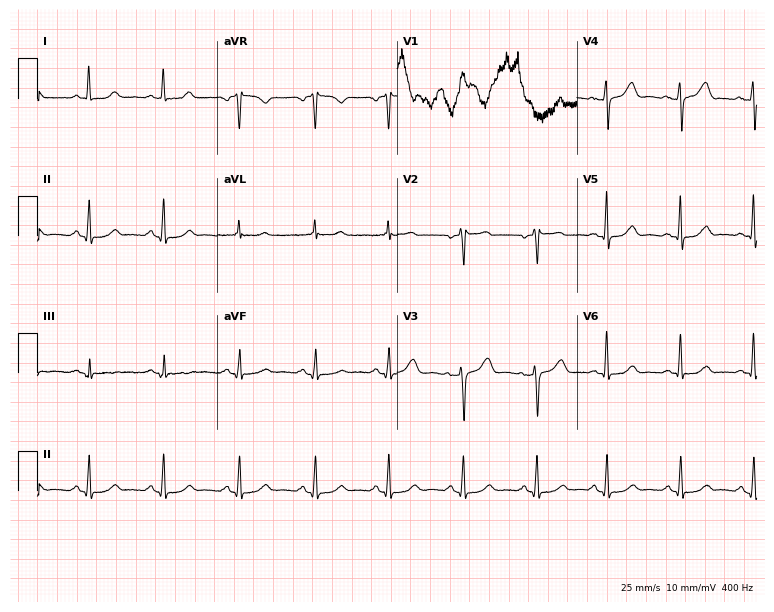
Electrocardiogram (7.3-second recording at 400 Hz), a female patient, 41 years old. Of the six screened findings (first-degree AV block, right bundle branch block (RBBB), left bundle branch block (LBBB), sinus bradycardia, atrial fibrillation (AF), sinus tachycardia), none is recorded. Findings outside these six are not listed.